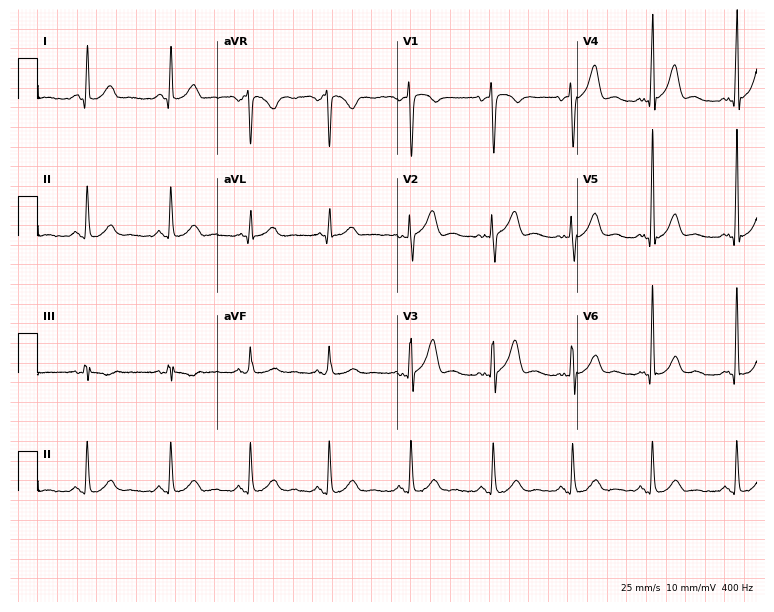
Resting 12-lead electrocardiogram. Patient: a male, 41 years old. Read as a normal ECG.